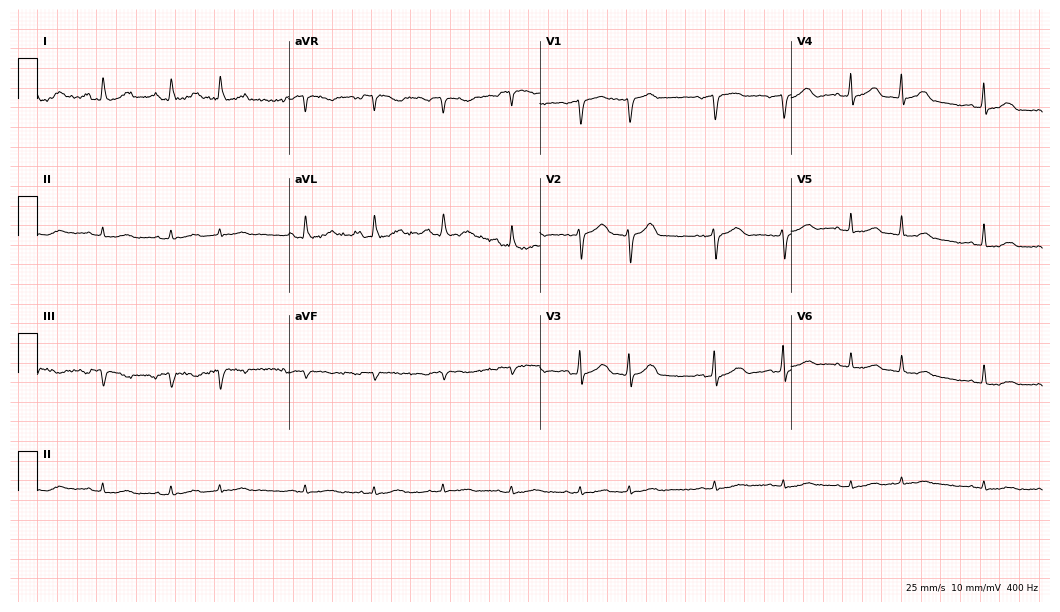
Electrocardiogram, a male, 81 years old. Interpretation includes atrial fibrillation.